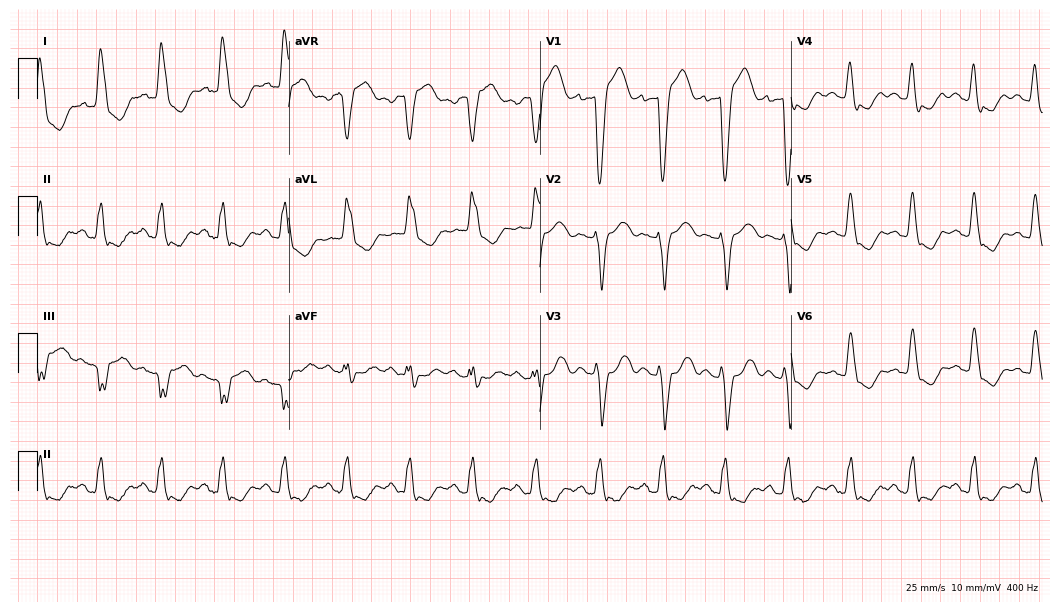
Standard 12-lead ECG recorded from a woman, 65 years old (10.2-second recording at 400 Hz). The tracing shows left bundle branch block.